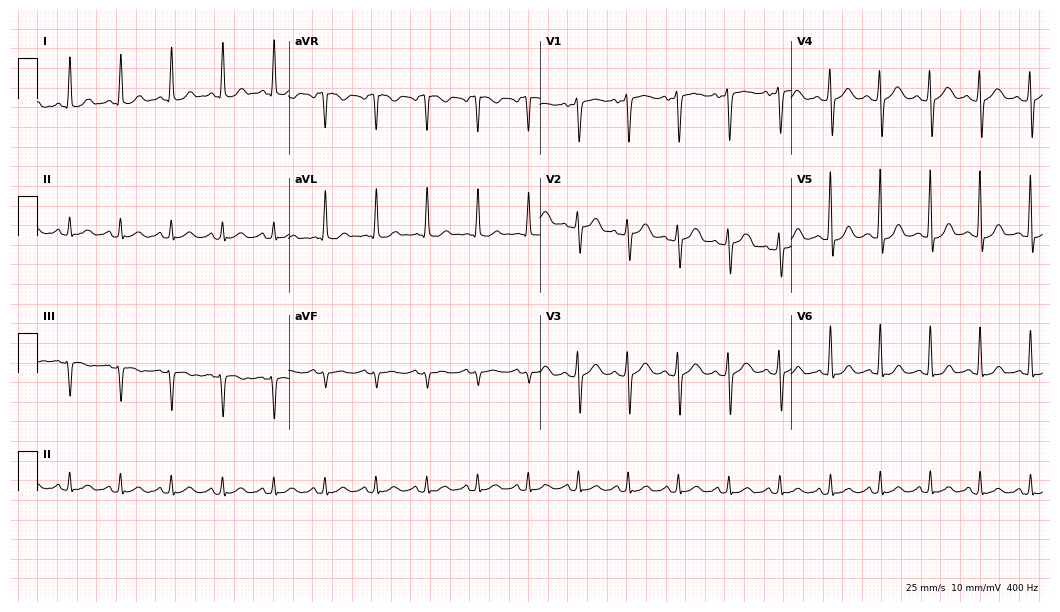
12-lead ECG (10.2-second recording at 400 Hz) from a 46-year-old female. Findings include sinus tachycardia (a sinus rate of 100 beats per minute or more).